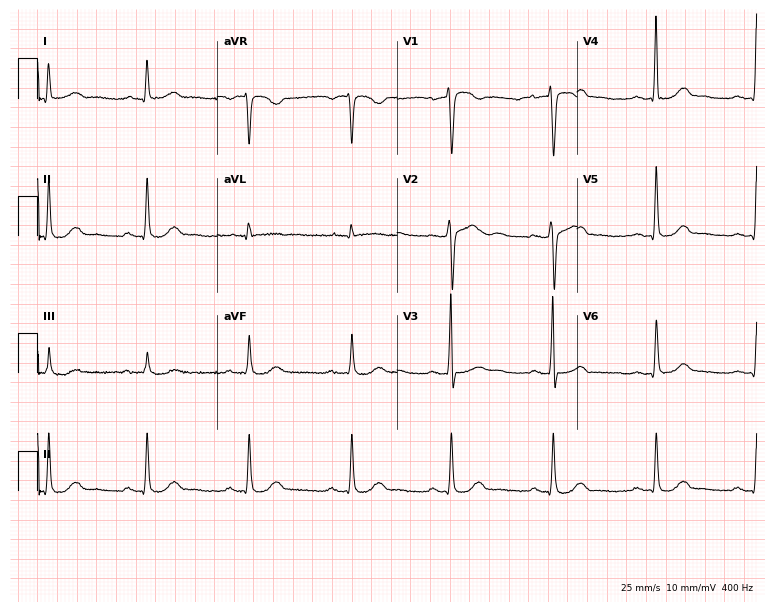
Electrocardiogram (7.3-second recording at 400 Hz), a 57-year-old male. Overall reading on record: normal ECG.